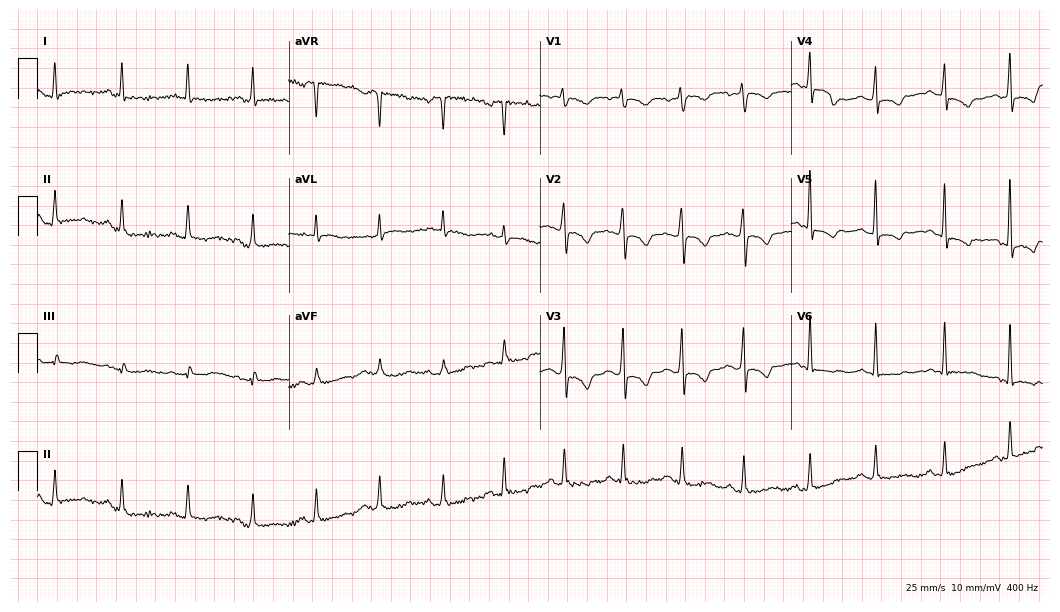
ECG — a woman, 54 years old. Screened for six findings — first-degree AV block, right bundle branch block (RBBB), left bundle branch block (LBBB), sinus bradycardia, atrial fibrillation (AF), sinus tachycardia — none is recorded. Findings outside these six are not listed.